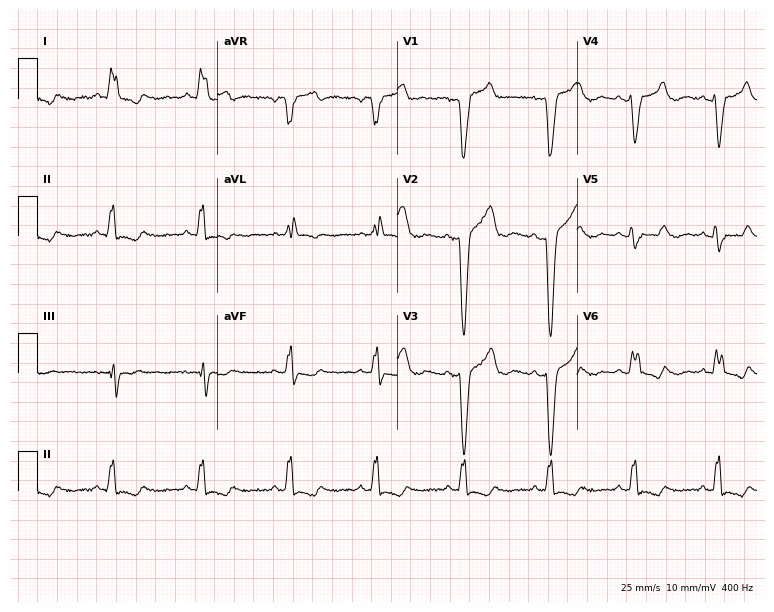
Resting 12-lead electrocardiogram (7.3-second recording at 400 Hz). Patient: a 58-year-old female. The tracing shows left bundle branch block.